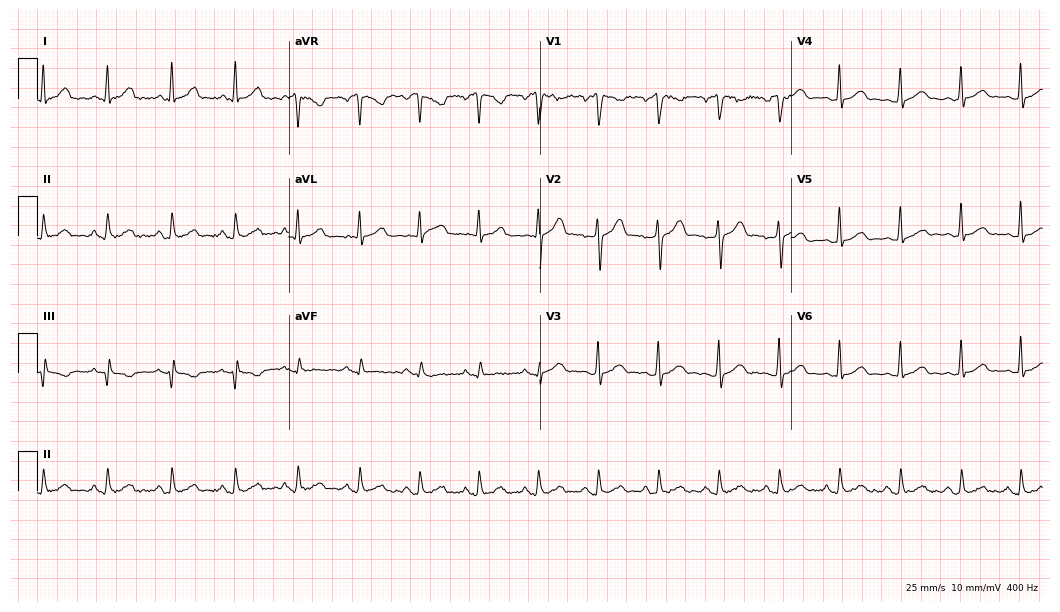
Electrocardiogram (10.2-second recording at 400 Hz), a 44-year-old man. Overall reading on record: normal ECG.